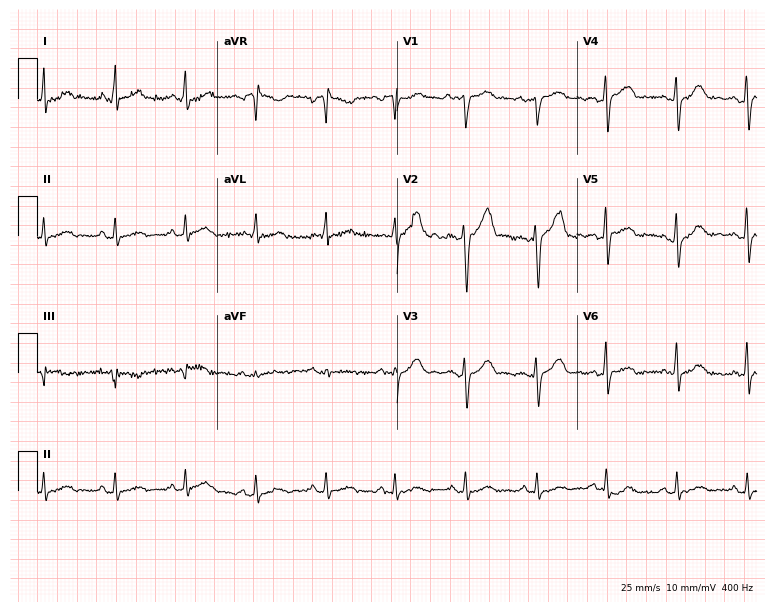
Electrocardiogram (7.3-second recording at 400 Hz), a male patient, 34 years old. Overall reading on record: normal ECG.